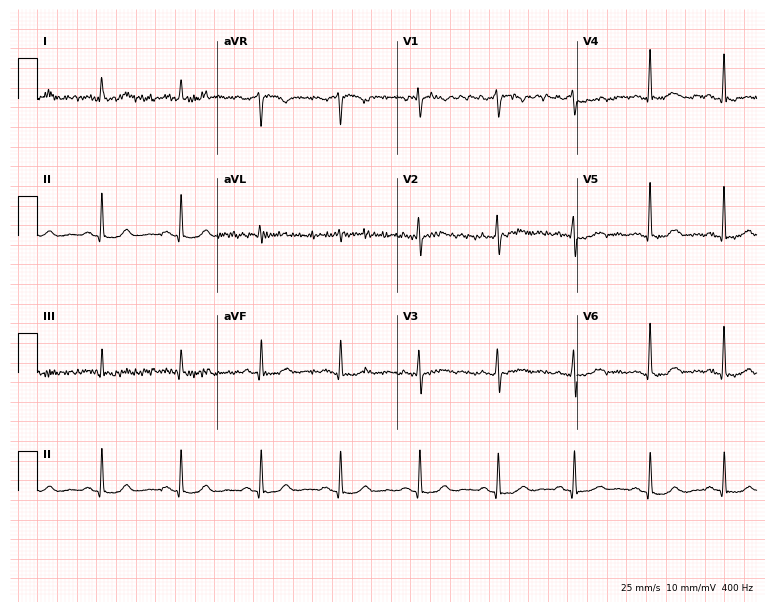
12-lead ECG from a 44-year-old female. Recorded interpretation: within normal limits.